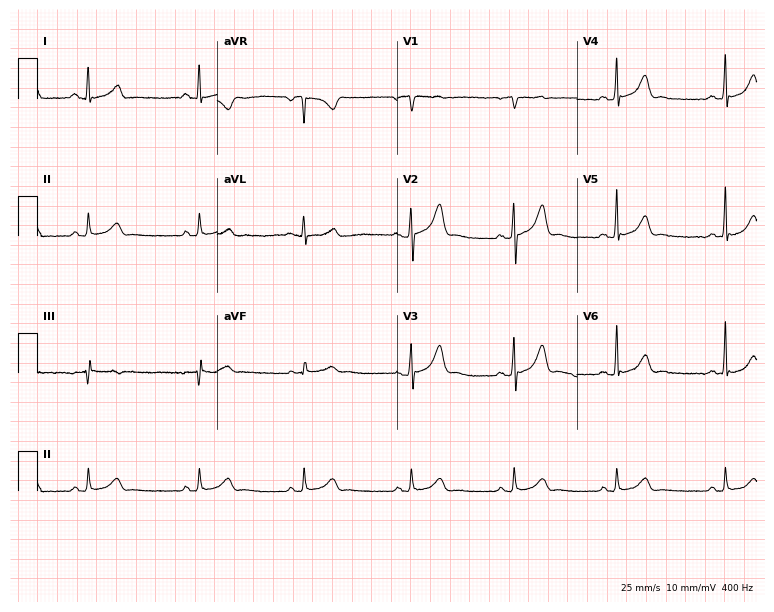
12-lead ECG from a 37-year-old male patient. No first-degree AV block, right bundle branch block, left bundle branch block, sinus bradycardia, atrial fibrillation or sinus tachycardia recorded for this tracing. Other findings, if any, are not listed.